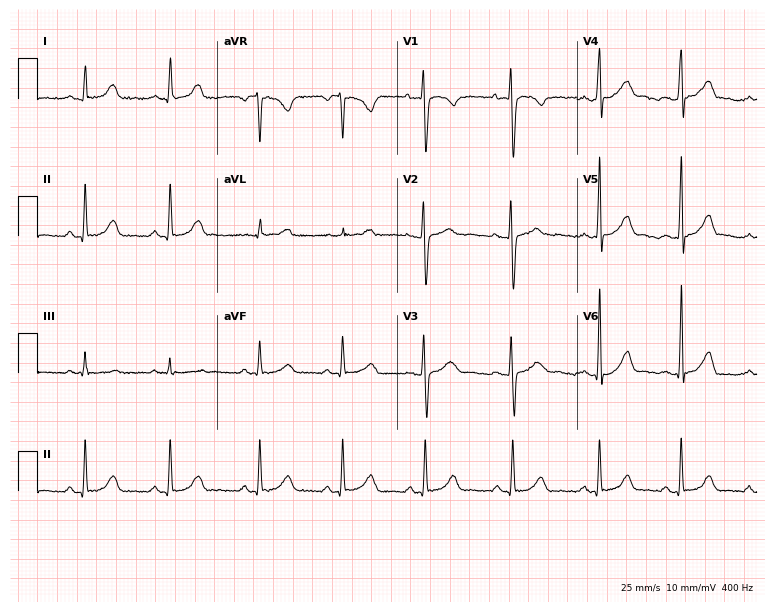
12-lead ECG from a woman, 26 years old. Recorded interpretation: within normal limits.